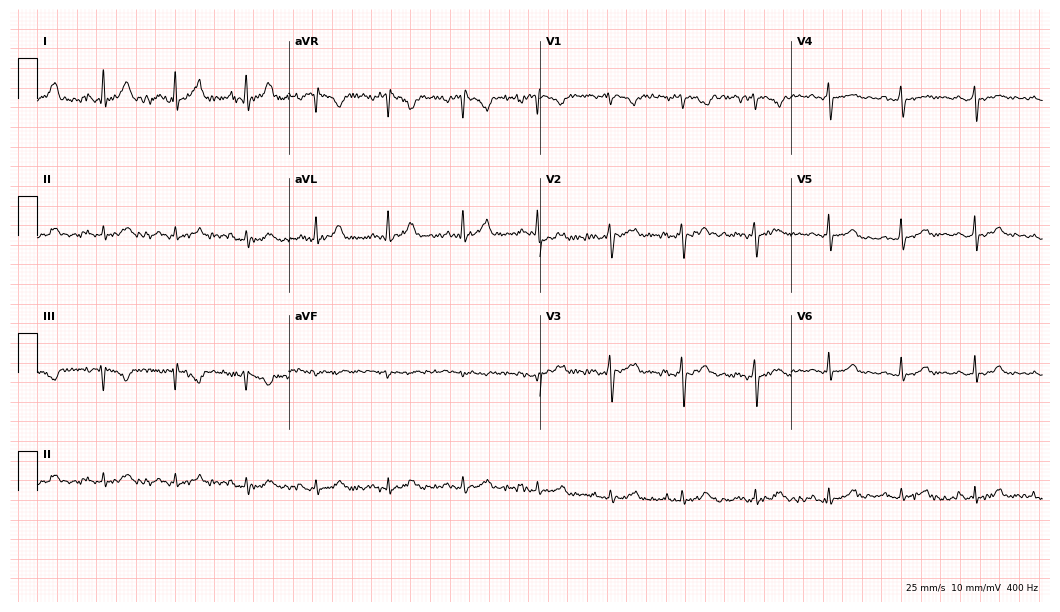
ECG (10.2-second recording at 400 Hz) — a female, 31 years old. Screened for six findings — first-degree AV block, right bundle branch block (RBBB), left bundle branch block (LBBB), sinus bradycardia, atrial fibrillation (AF), sinus tachycardia — none is recorded.